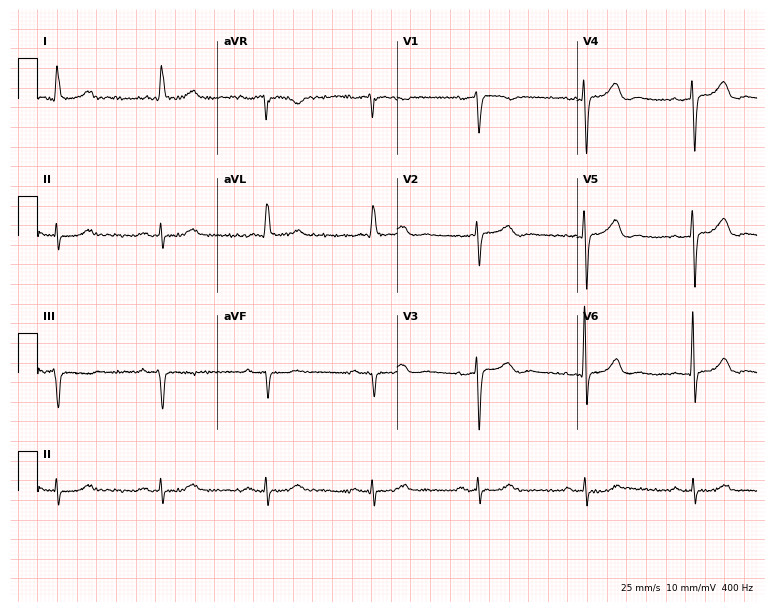
ECG — a male patient, 80 years old. Labelled as a normal ECG.